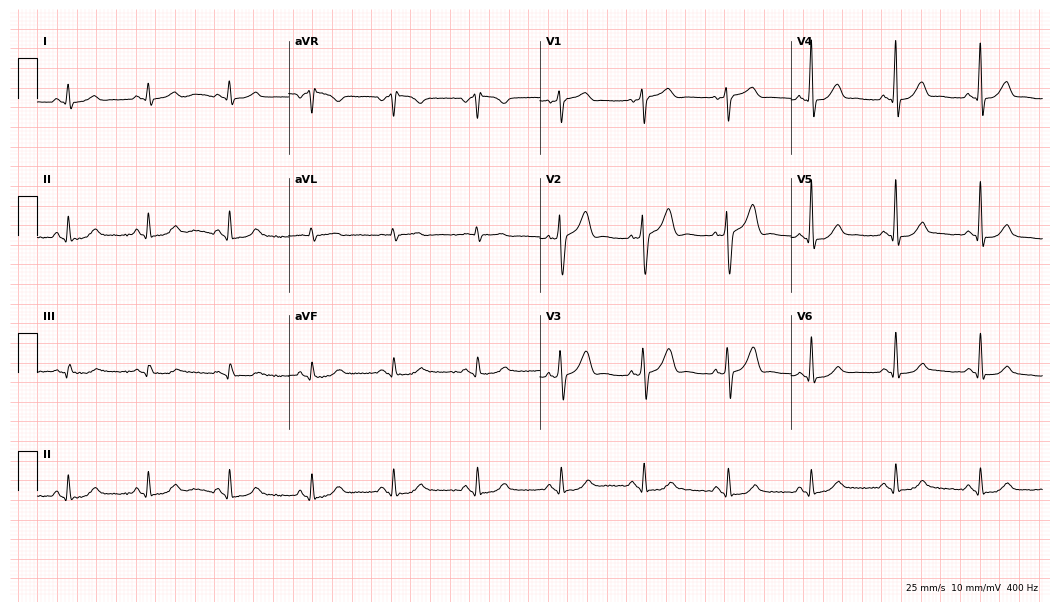
Resting 12-lead electrocardiogram. Patient: a 56-year-old male. Read as a normal ECG.